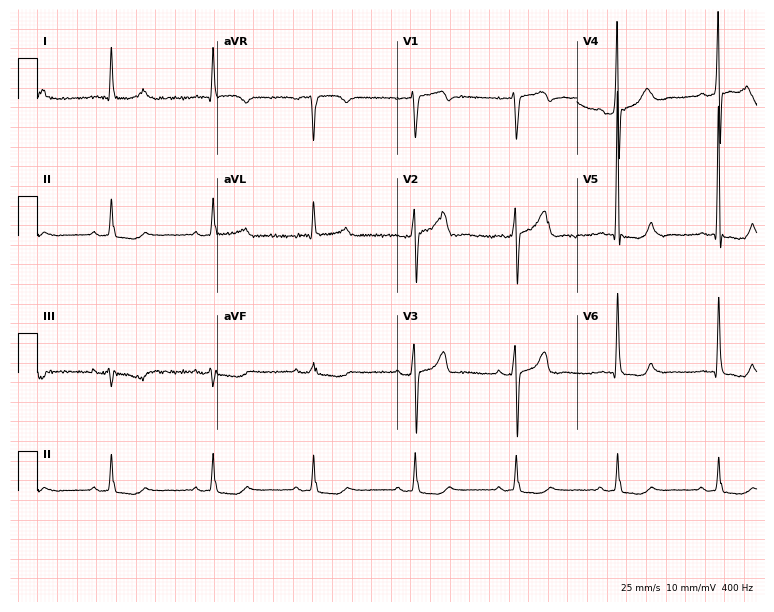
12-lead ECG from an 84-year-old man (7.3-second recording at 400 Hz). No first-degree AV block, right bundle branch block, left bundle branch block, sinus bradycardia, atrial fibrillation or sinus tachycardia recorded for this tracing. Other findings, if any, are not listed.